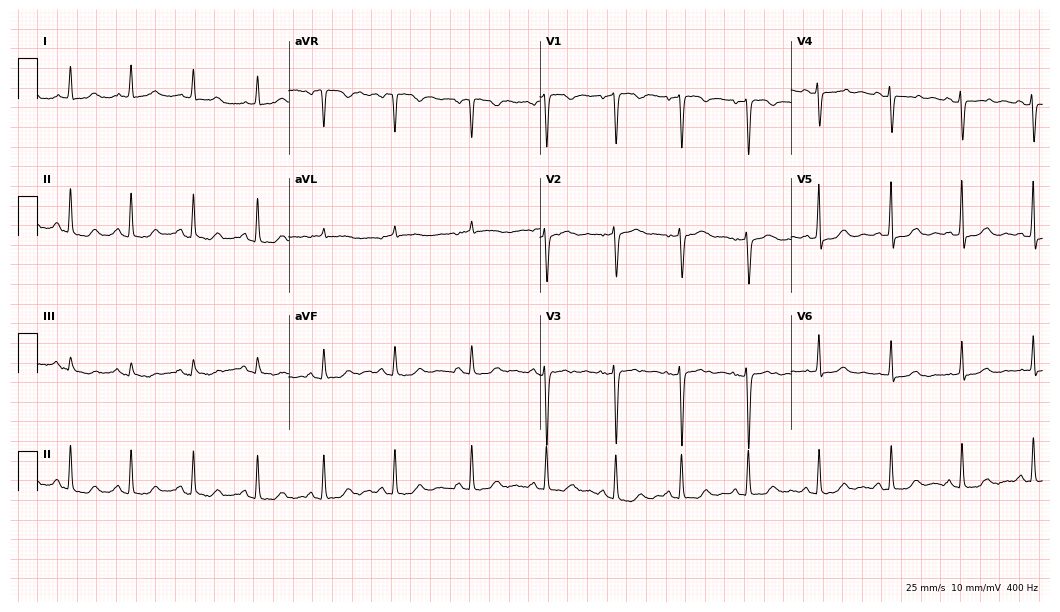
Standard 12-lead ECG recorded from a female, 66 years old (10.2-second recording at 400 Hz). None of these six findings is recorded: first-degree AV block, right bundle branch block, left bundle branch block, sinus bradycardia, atrial fibrillation, sinus tachycardia. Findings outside these six are not listed.